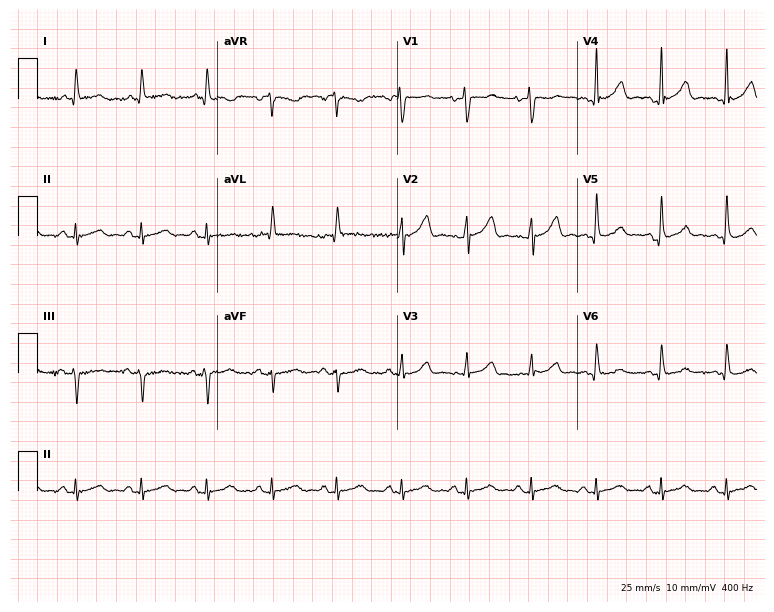
ECG — a man, 71 years old. Labelled as a normal ECG.